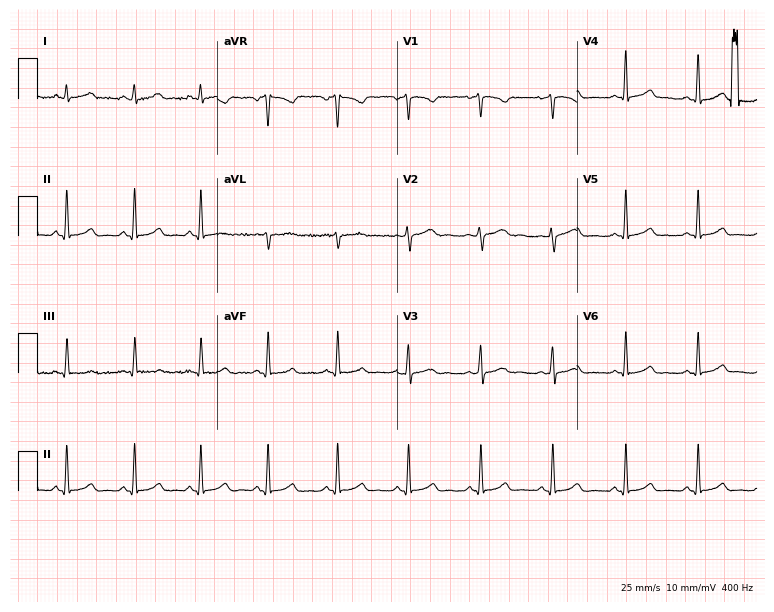
Standard 12-lead ECG recorded from a female, 41 years old. Read as a normal ECG.